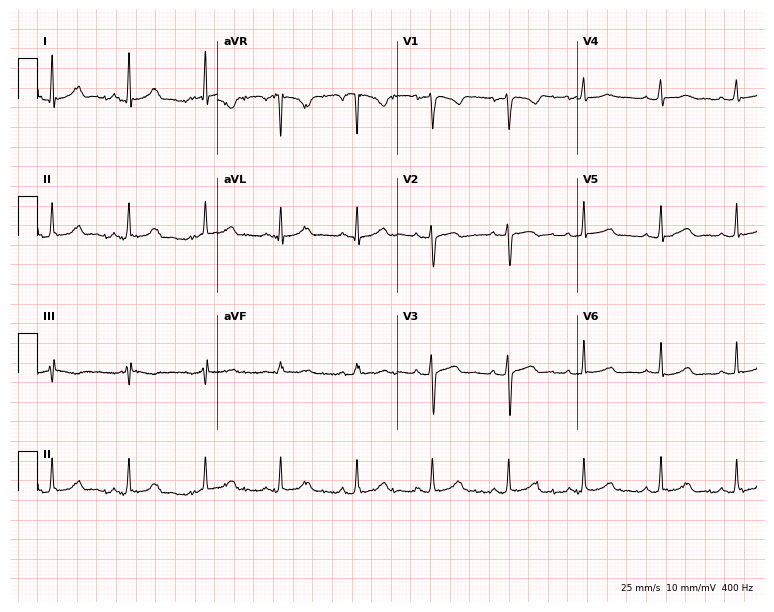
12-lead ECG from a 31-year-old female. Labelled as a normal ECG.